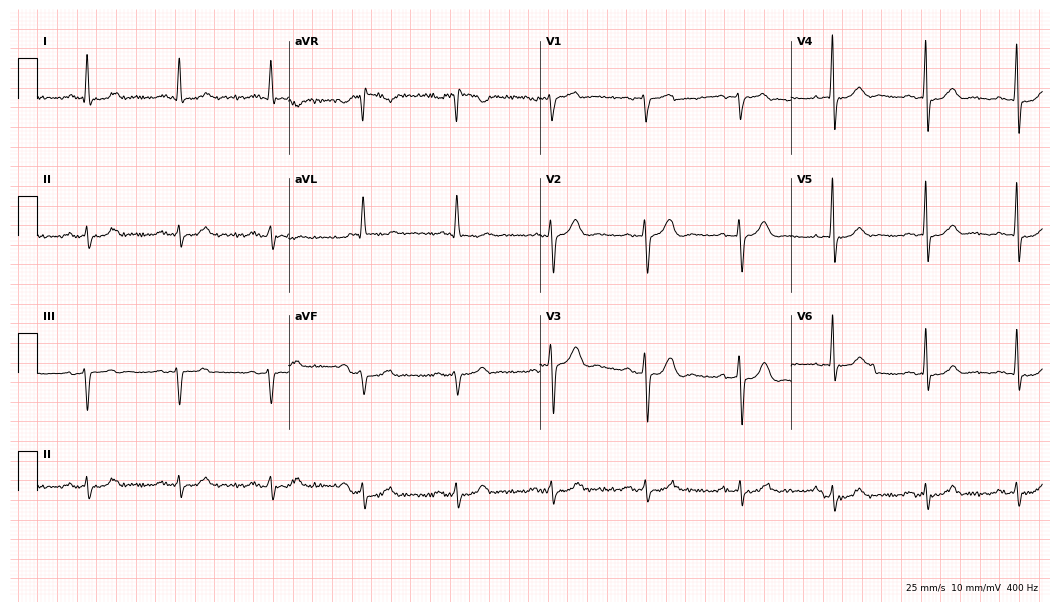
ECG — a male patient, 77 years old. Screened for six findings — first-degree AV block, right bundle branch block, left bundle branch block, sinus bradycardia, atrial fibrillation, sinus tachycardia — none is recorded. Only these six findings were labelled.